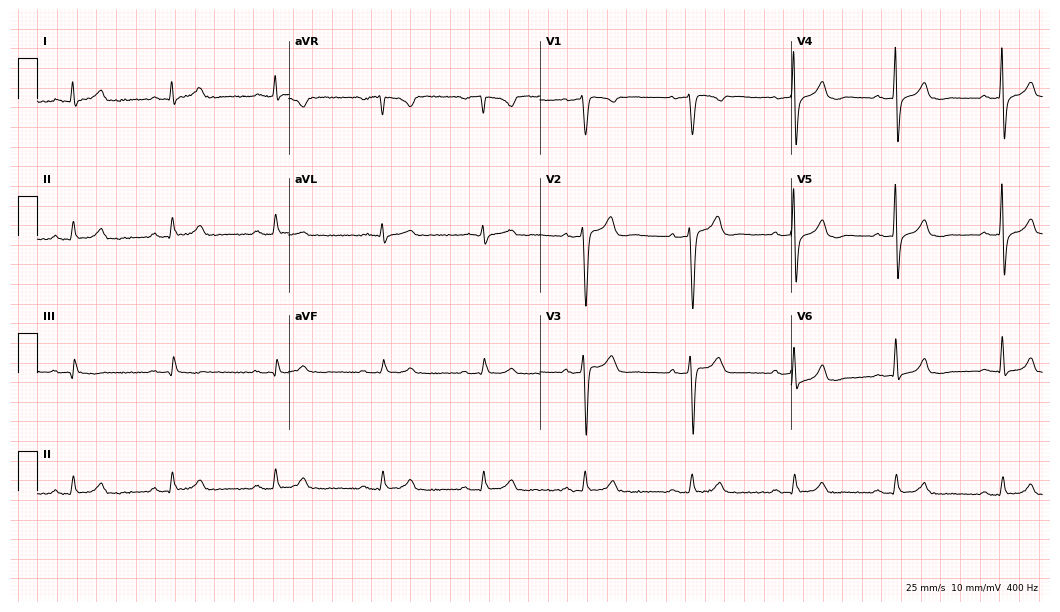
Resting 12-lead electrocardiogram (10.2-second recording at 400 Hz). Patient: a male, 30 years old. Read as a normal ECG.